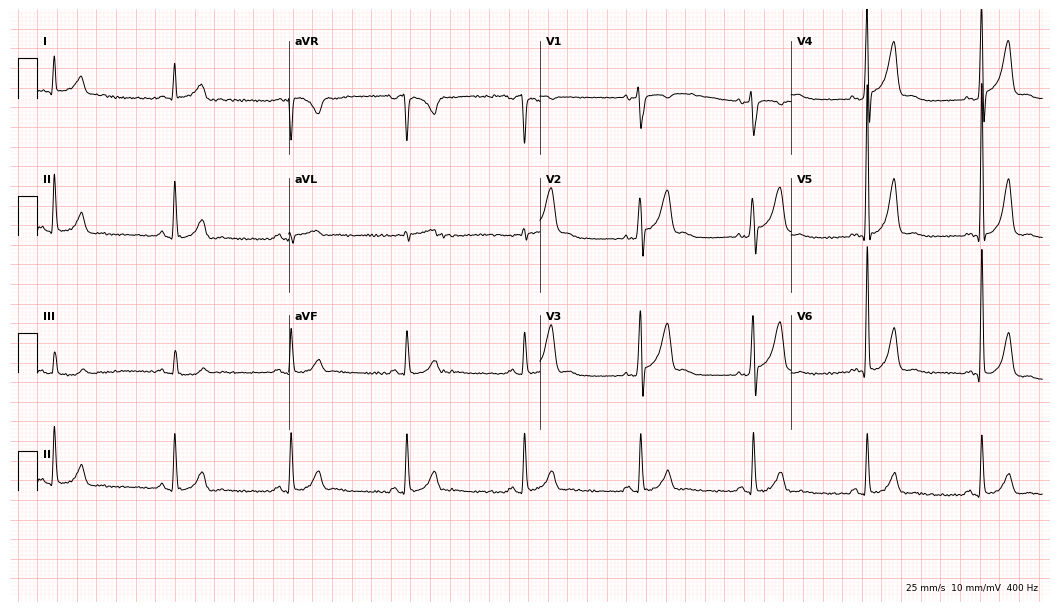
12-lead ECG from a 60-year-old man. No first-degree AV block, right bundle branch block (RBBB), left bundle branch block (LBBB), sinus bradycardia, atrial fibrillation (AF) or sinus tachycardia recorded for this tracing. Only these six findings were labelled.